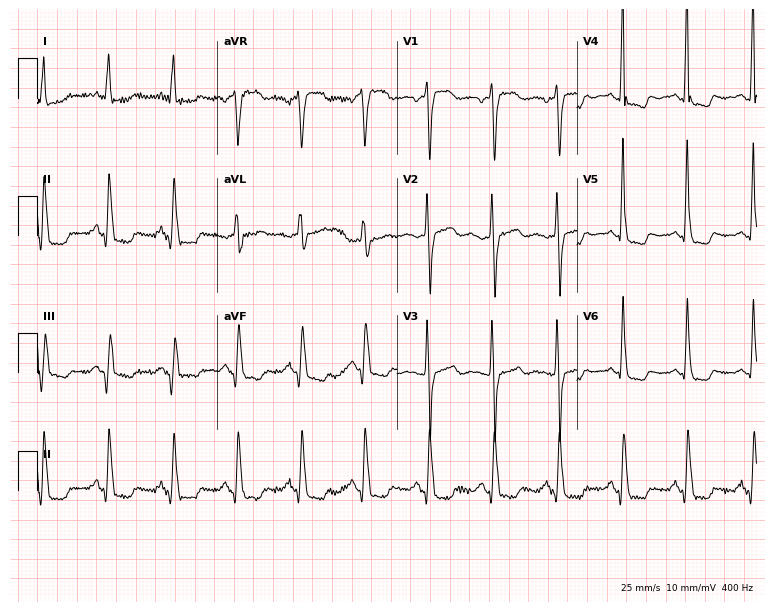
Resting 12-lead electrocardiogram (7.3-second recording at 400 Hz). Patient: a female, 67 years old. None of these six findings is recorded: first-degree AV block, right bundle branch block, left bundle branch block, sinus bradycardia, atrial fibrillation, sinus tachycardia.